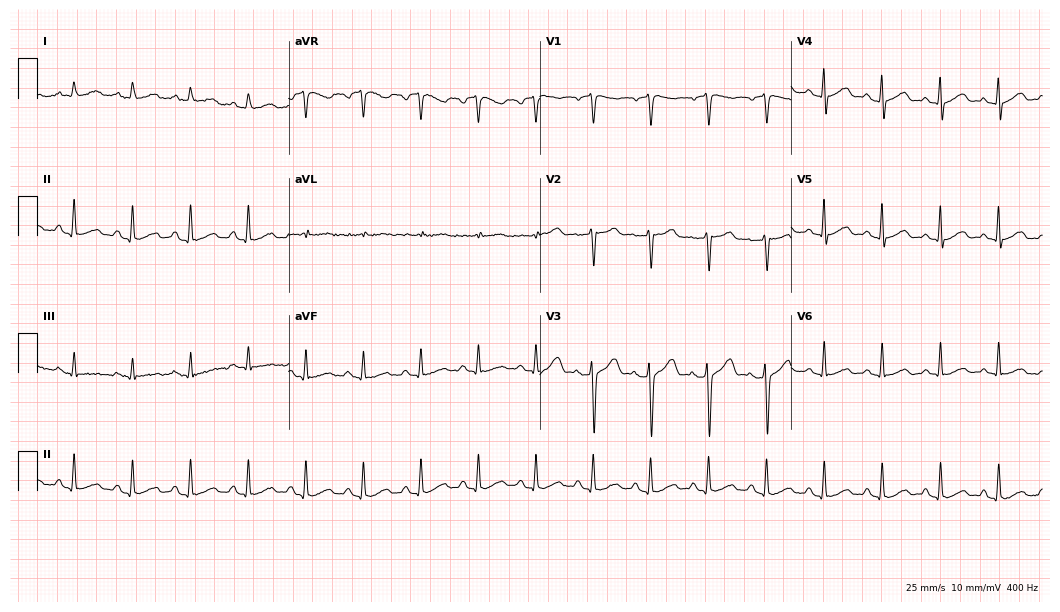
12-lead ECG (10.2-second recording at 400 Hz) from a 55-year-old woman. Findings include sinus tachycardia (a sinus rate of 100 beats per minute or more).